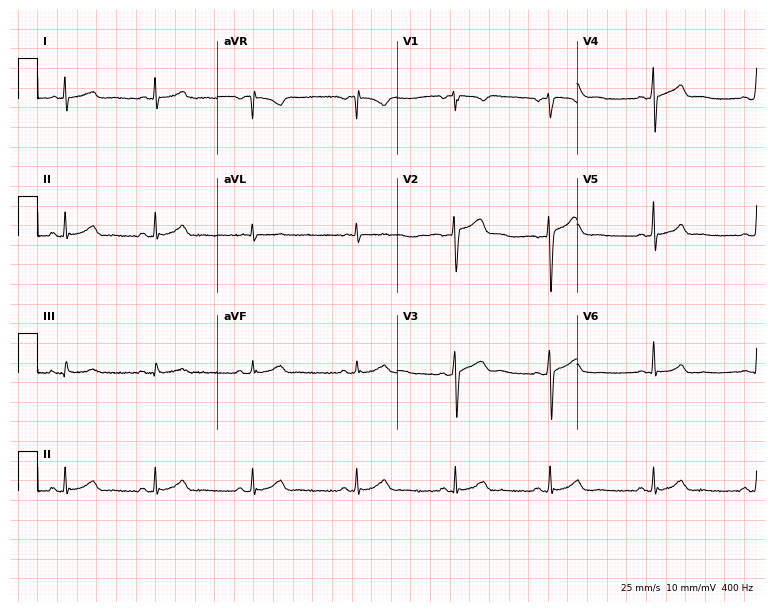
12-lead ECG from a 28-year-old male patient. Recorded interpretation: within normal limits.